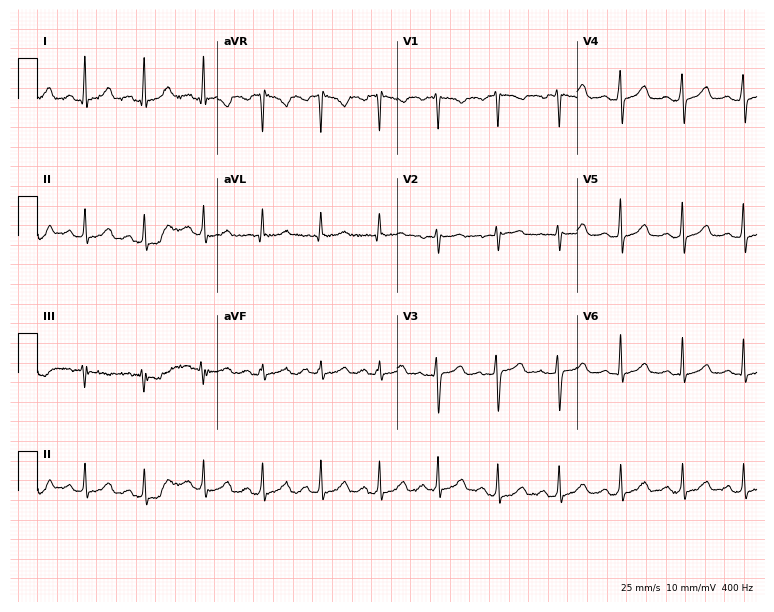
12-lead ECG from a 28-year-old female (7.3-second recording at 400 Hz). No first-degree AV block, right bundle branch block, left bundle branch block, sinus bradycardia, atrial fibrillation or sinus tachycardia recorded for this tracing.